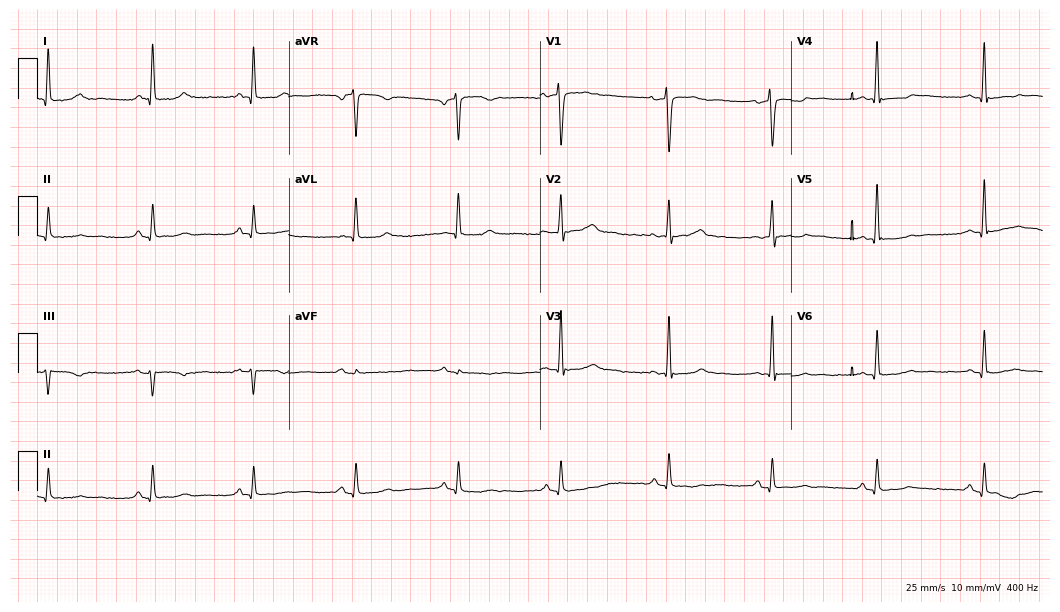
12-lead ECG from a 50-year-old woman (10.2-second recording at 400 Hz). No first-degree AV block, right bundle branch block (RBBB), left bundle branch block (LBBB), sinus bradycardia, atrial fibrillation (AF) or sinus tachycardia recorded for this tracing.